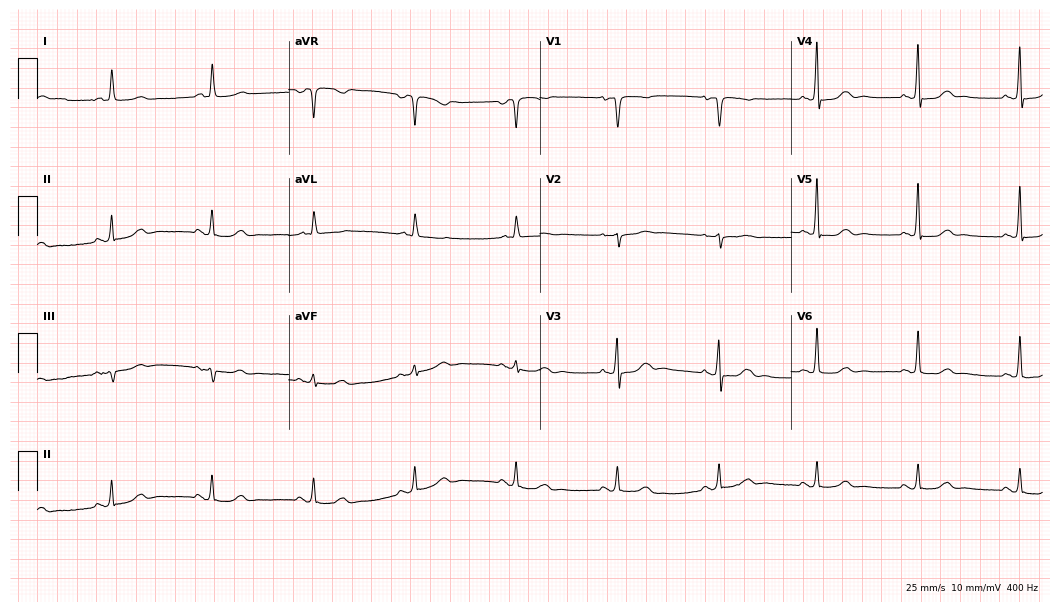
12-lead ECG (10.2-second recording at 400 Hz) from a female patient, 60 years old. Labelled as a normal ECG.